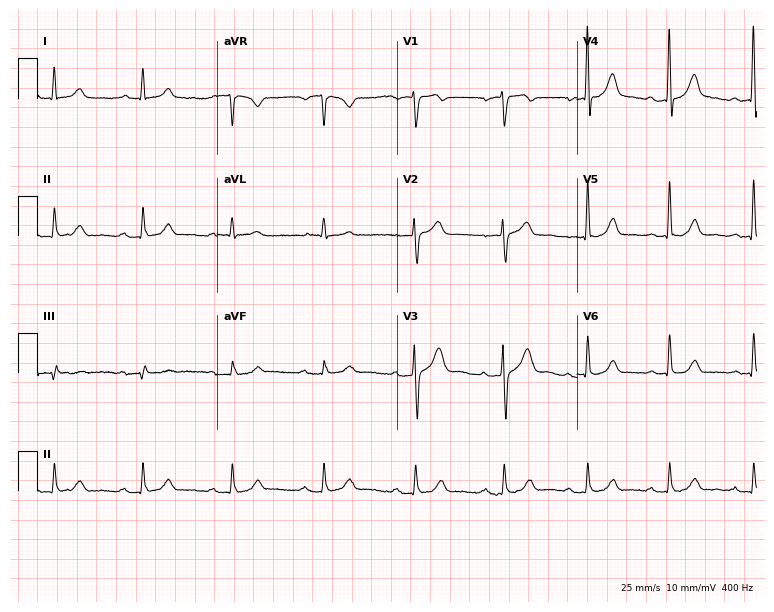
ECG — a 65-year-old male patient. Labelled as a normal ECG.